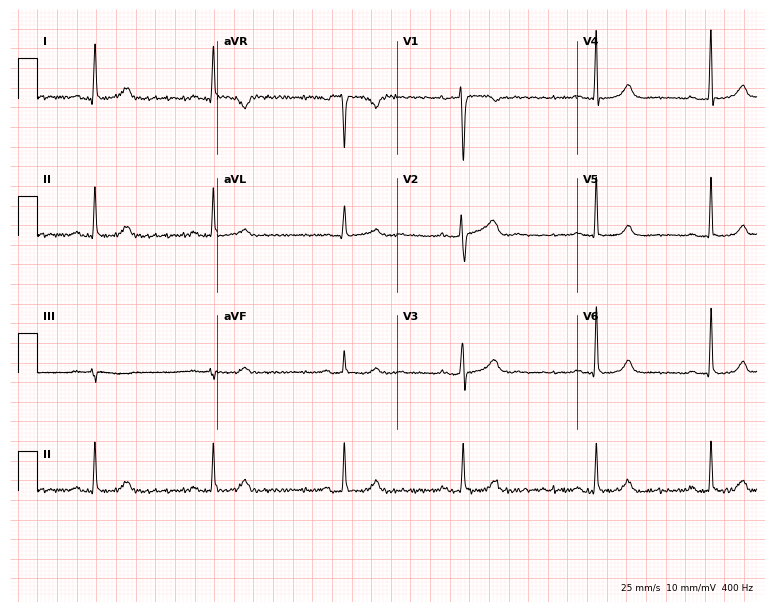
ECG — a 44-year-old woman. Findings include sinus bradycardia (a sinus rate of 50 beats per minute or less).